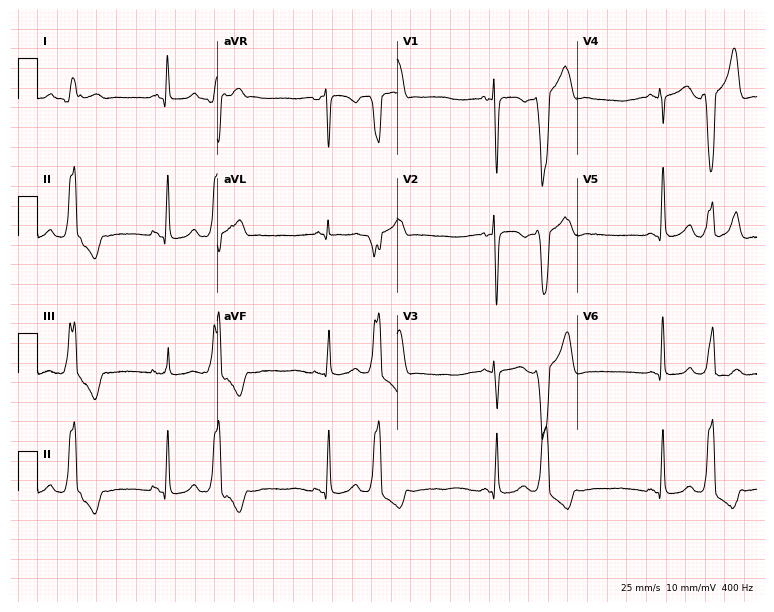
12-lead ECG from a woman, 34 years old. Screened for six findings — first-degree AV block, right bundle branch block, left bundle branch block, sinus bradycardia, atrial fibrillation, sinus tachycardia — none is recorded.